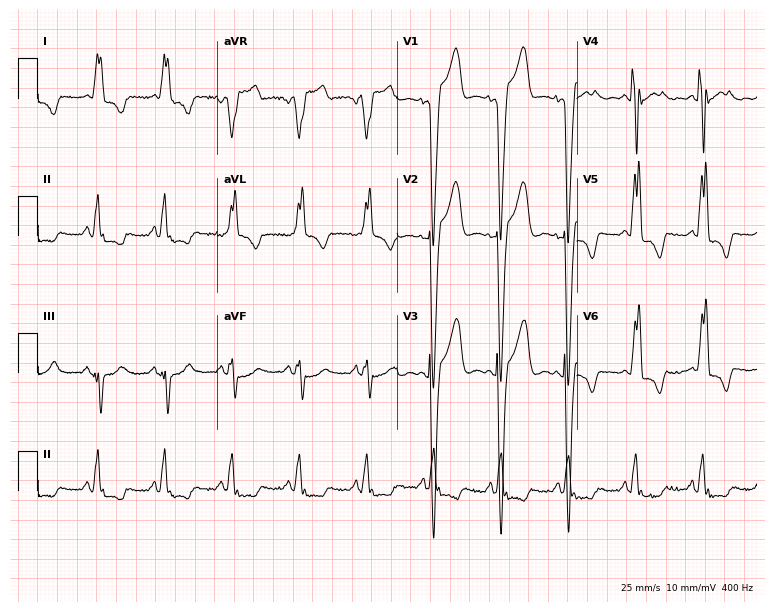
12-lead ECG from a female, 78 years old (7.3-second recording at 400 Hz). Shows left bundle branch block.